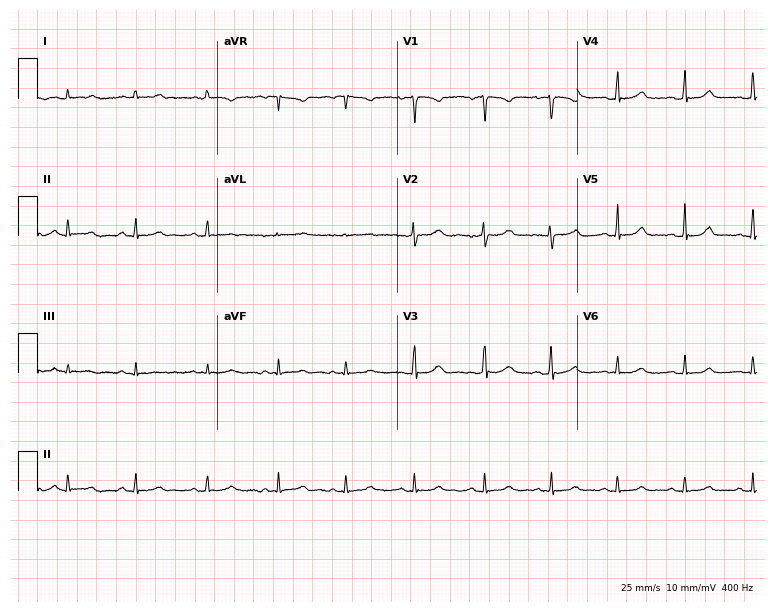
ECG (7.3-second recording at 400 Hz) — a 23-year-old woman. Labelled as a normal ECG.